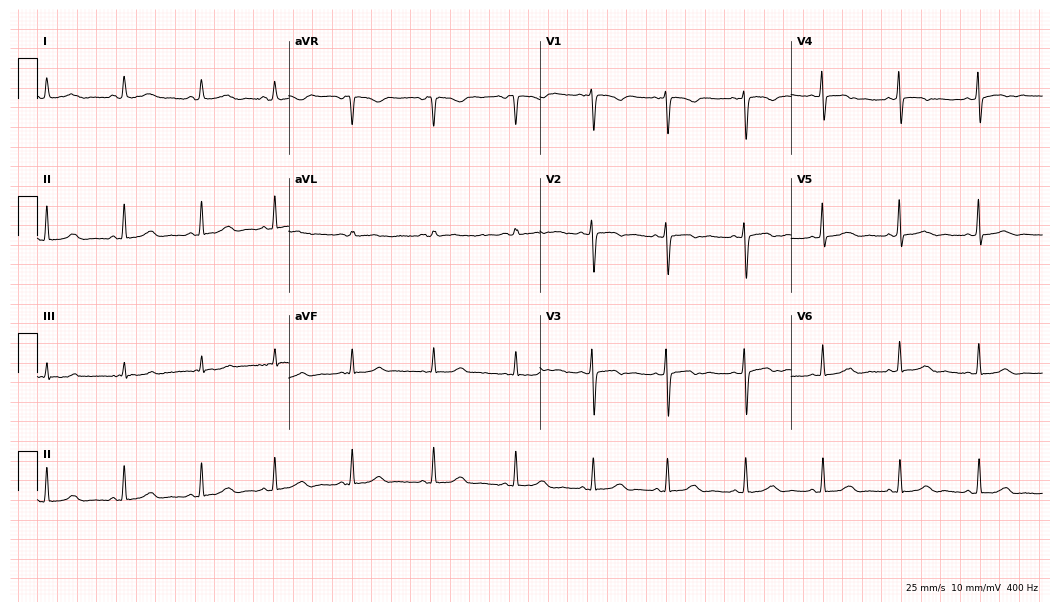
12-lead ECG from a 21-year-old female patient. Screened for six findings — first-degree AV block, right bundle branch block (RBBB), left bundle branch block (LBBB), sinus bradycardia, atrial fibrillation (AF), sinus tachycardia — none is recorded.